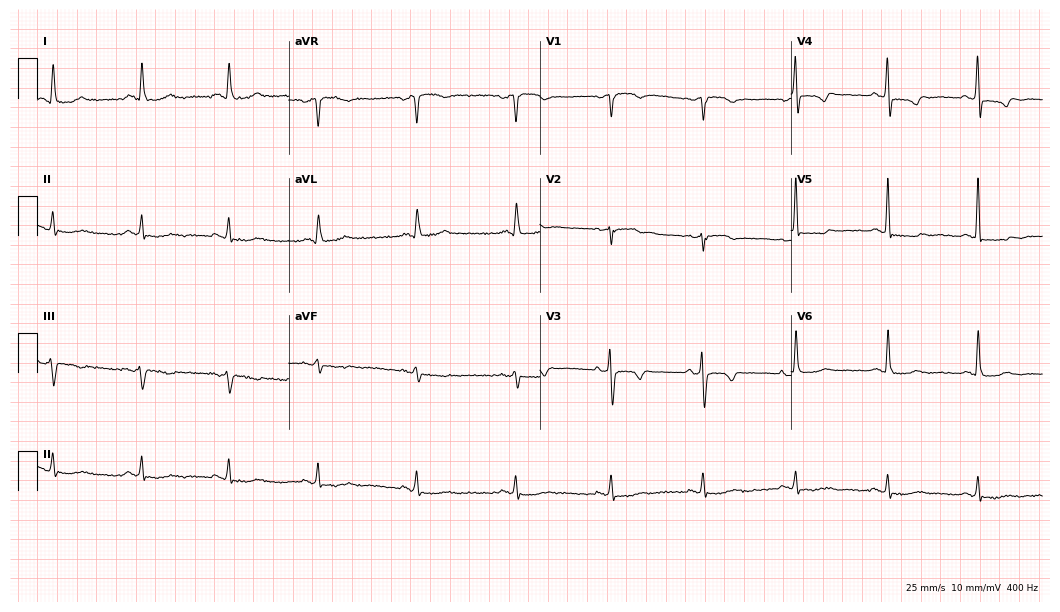
Resting 12-lead electrocardiogram. Patient: a 67-year-old woman. None of these six findings is recorded: first-degree AV block, right bundle branch block, left bundle branch block, sinus bradycardia, atrial fibrillation, sinus tachycardia.